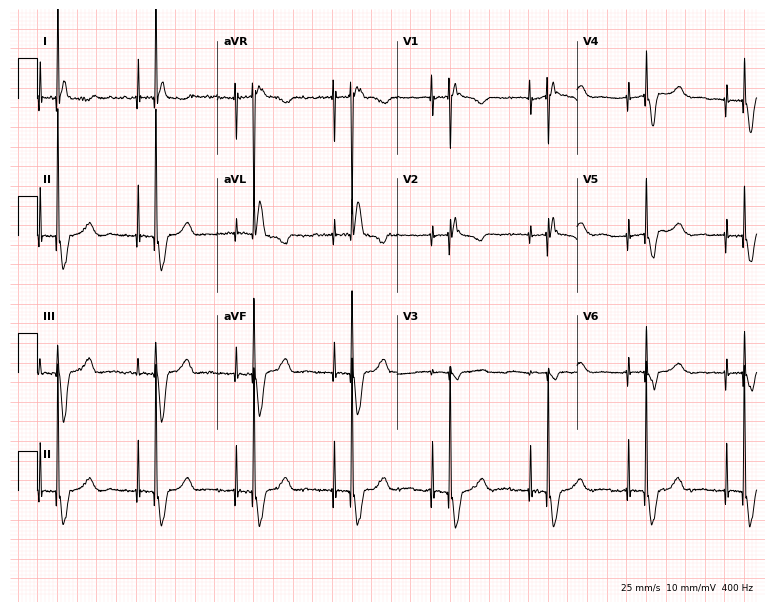
12-lead ECG from a female patient, 68 years old. No first-degree AV block, right bundle branch block, left bundle branch block, sinus bradycardia, atrial fibrillation or sinus tachycardia recorded for this tracing. Other findings, if any, are not listed.